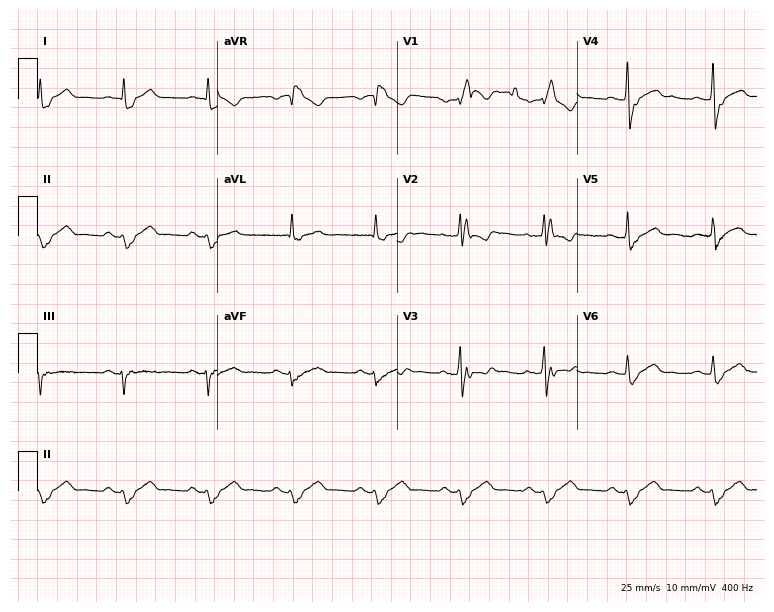
Resting 12-lead electrocardiogram. Patient: a 66-year-old male. The tracing shows right bundle branch block.